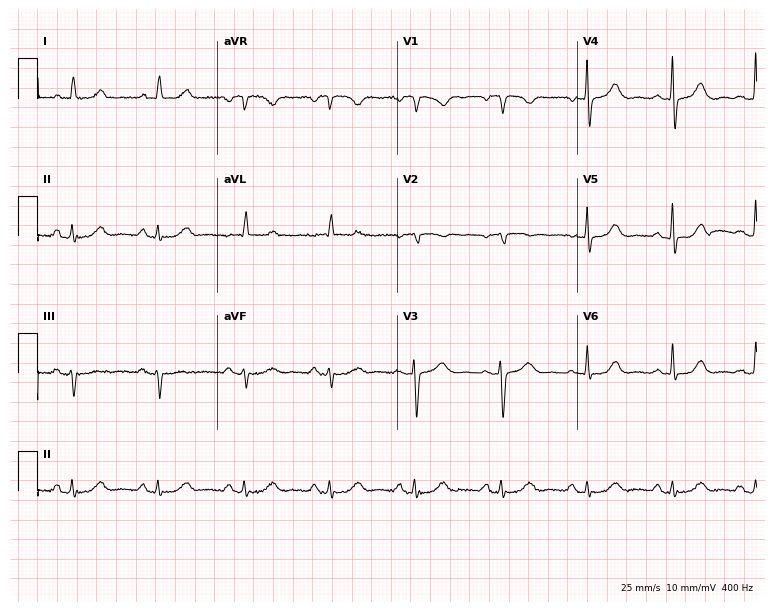
Resting 12-lead electrocardiogram. Patient: a 73-year-old woman. None of these six findings is recorded: first-degree AV block, right bundle branch block (RBBB), left bundle branch block (LBBB), sinus bradycardia, atrial fibrillation (AF), sinus tachycardia.